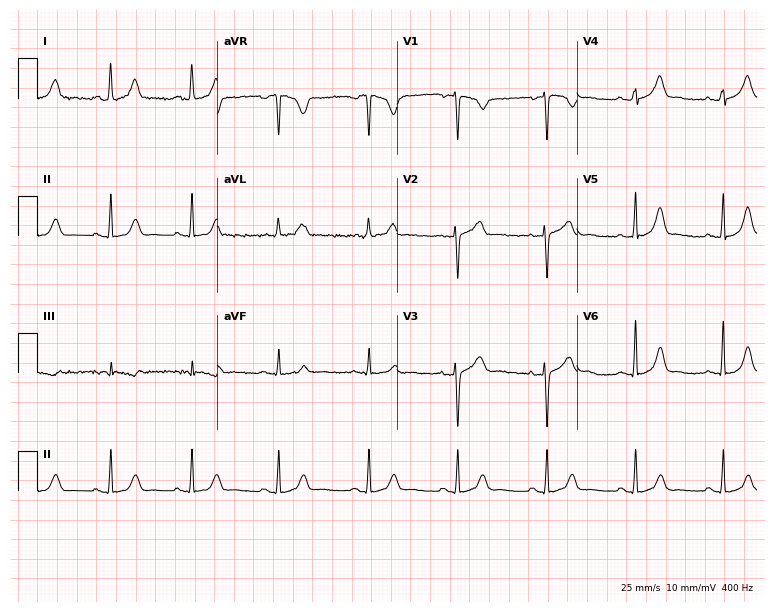
ECG (7.3-second recording at 400 Hz) — a woman, 42 years old. Labelled as a normal ECG.